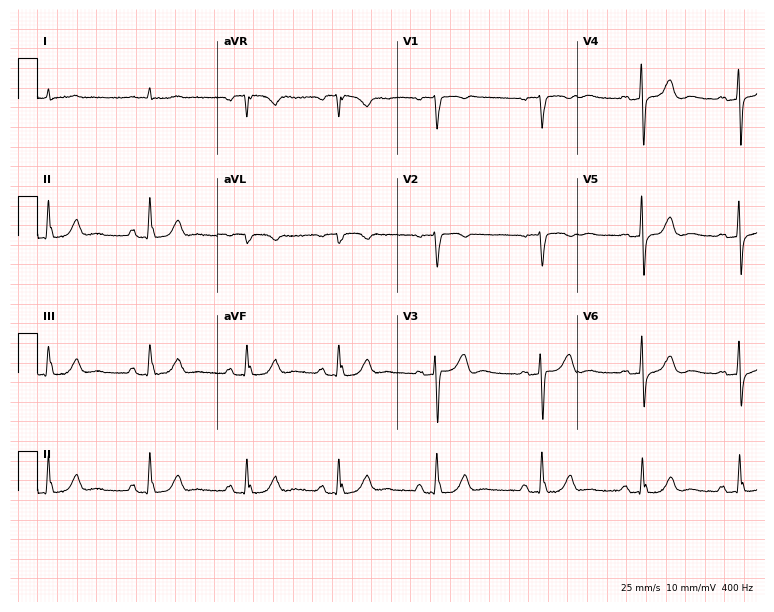
Resting 12-lead electrocardiogram (7.3-second recording at 400 Hz). Patient: a male, 76 years old. None of these six findings is recorded: first-degree AV block, right bundle branch block, left bundle branch block, sinus bradycardia, atrial fibrillation, sinus tachycardia. Findings outside these six are not listed.